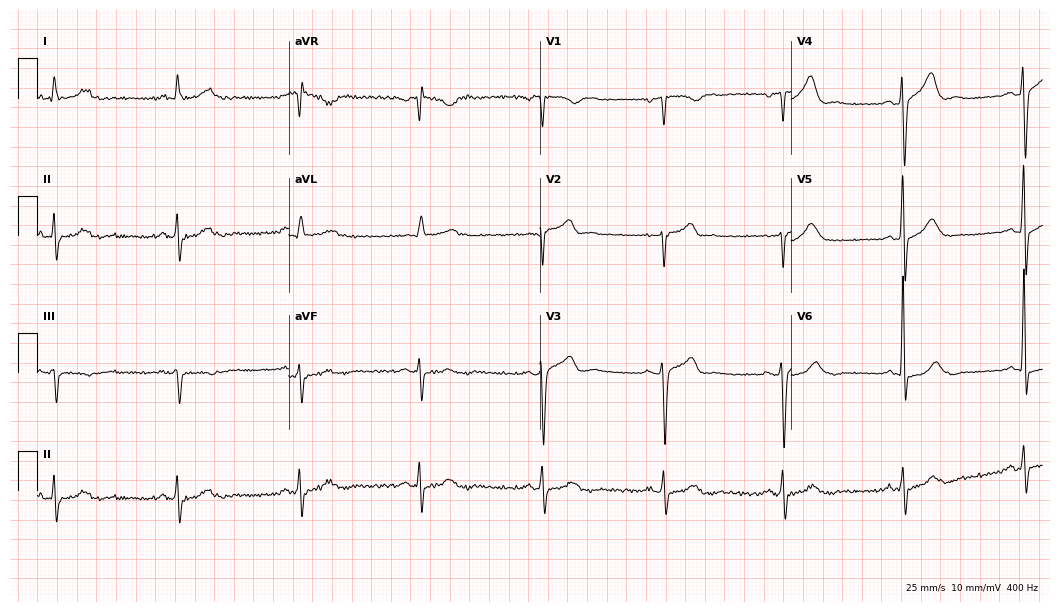
ECG (10.2-second recording at 400 Hz) — a male, 62 years old. Findings include sinus bradycardia (a sinus rate of 50 beats per minute or less).